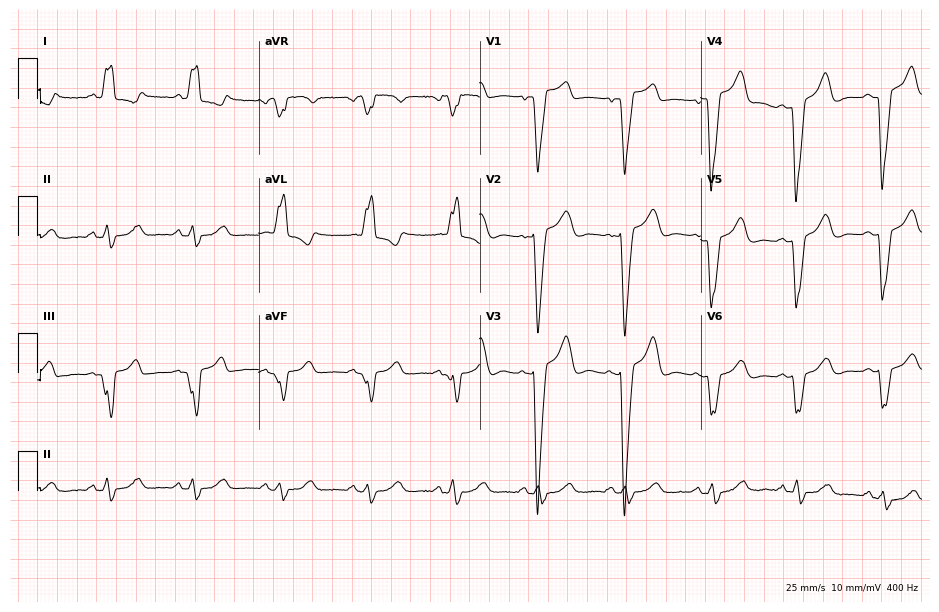
12-lead ECG from an 83-year-old female. Findings include left bundle branch block (LBBB).